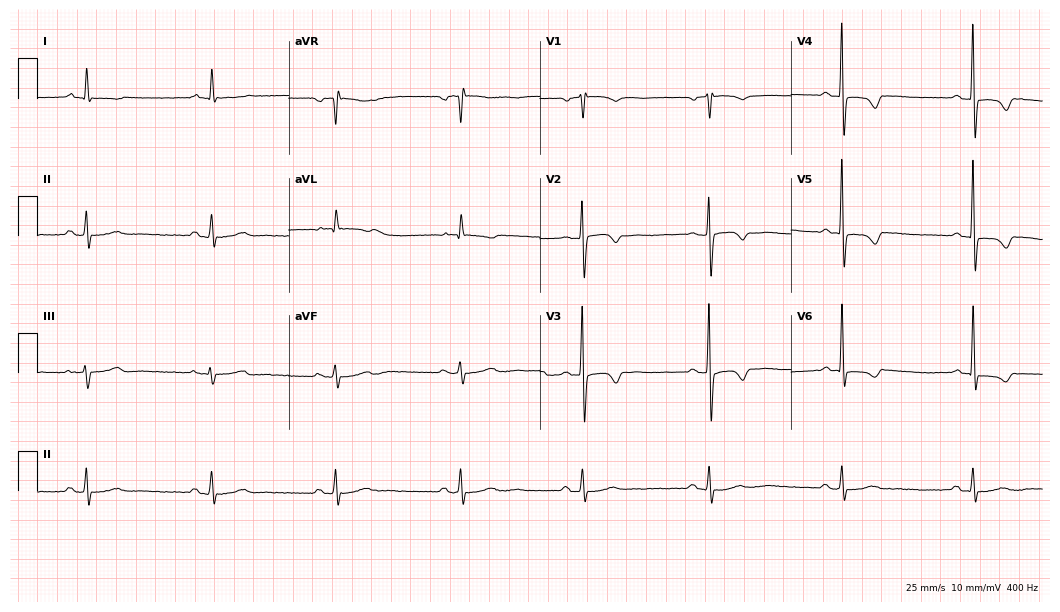
Resting 12-lead electrocardiogram (10.2-second recording at 400 Hz). Patient: a 79-year-old male. The tracing shows sinus bradycardia (a sinus rate of 50 beats per minute or less).